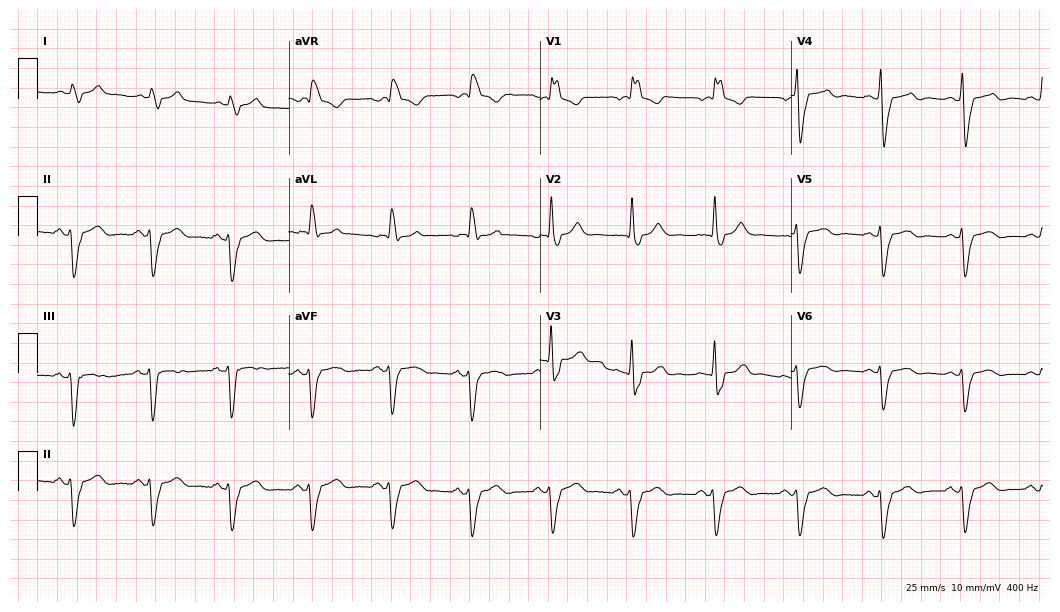
ECG (10.2-second recording at 400 Hz) — a man, 75 years old. Findings include right bundle branch block (RBBB).